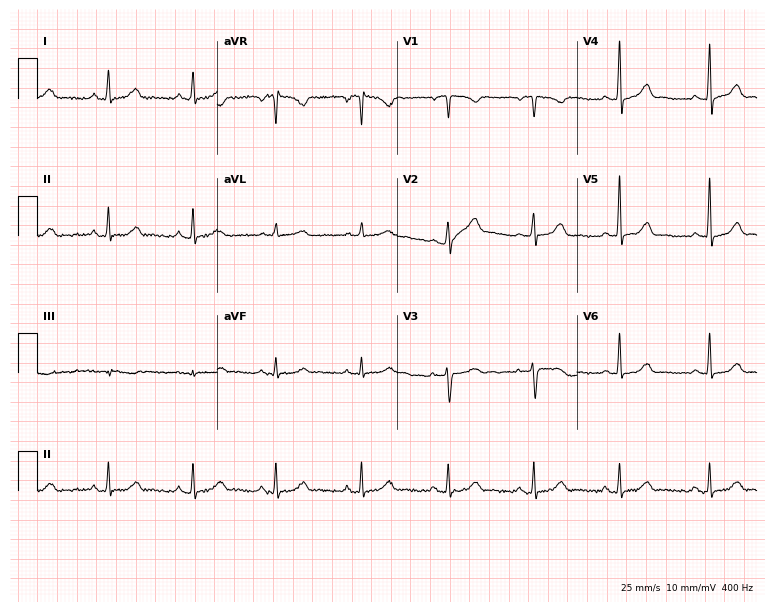
Standard 12-lead ECG recorded from a female patient, 37 years old (7.3-second recording at 400 Hz). Read as a normal ECG.